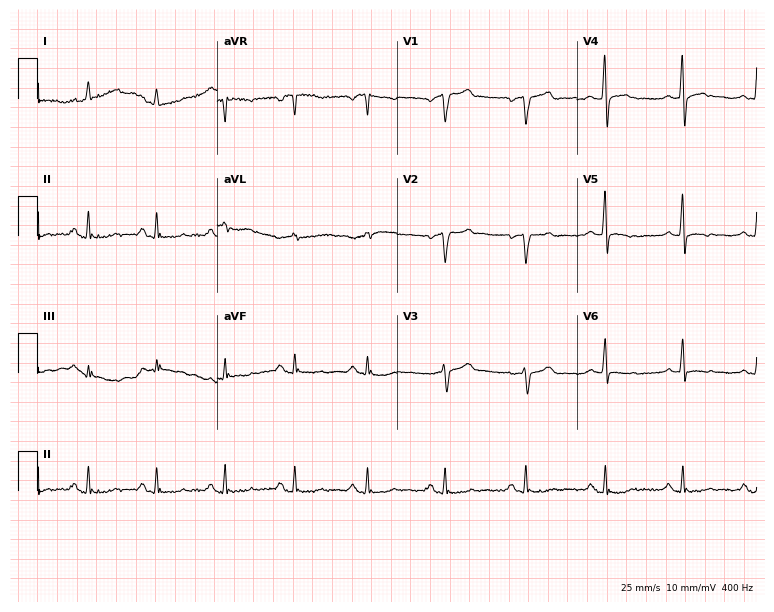
Electrocardiogram, a man, 56 years old. Of the six screened findings (first-degree AV block, right bundle branch block, left bundle branch block, sinus bradycardia, atrial fibrillation, sinus tachycardia), none is recorded.